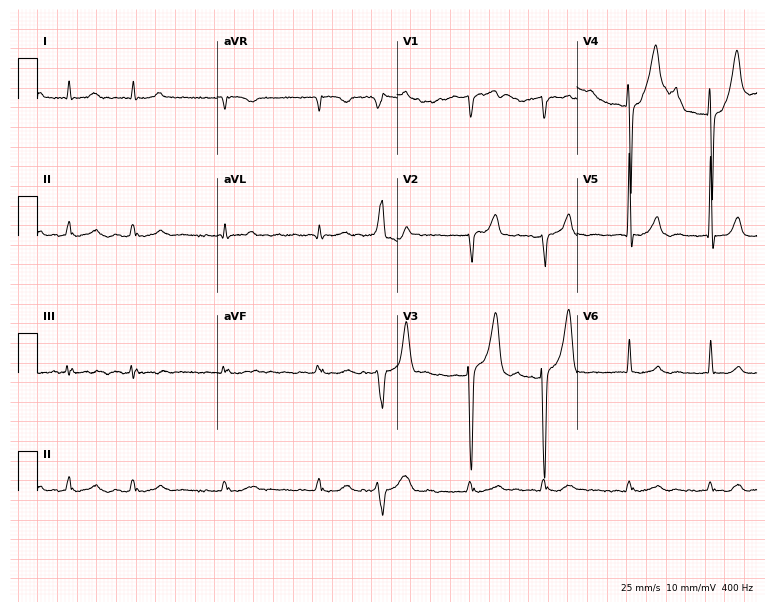
Resting 12-lead electrocardiogram (7.3-second recording at 400 Hz). Patient: a female, 82 years old. The tracing shows atrial fibrillation.